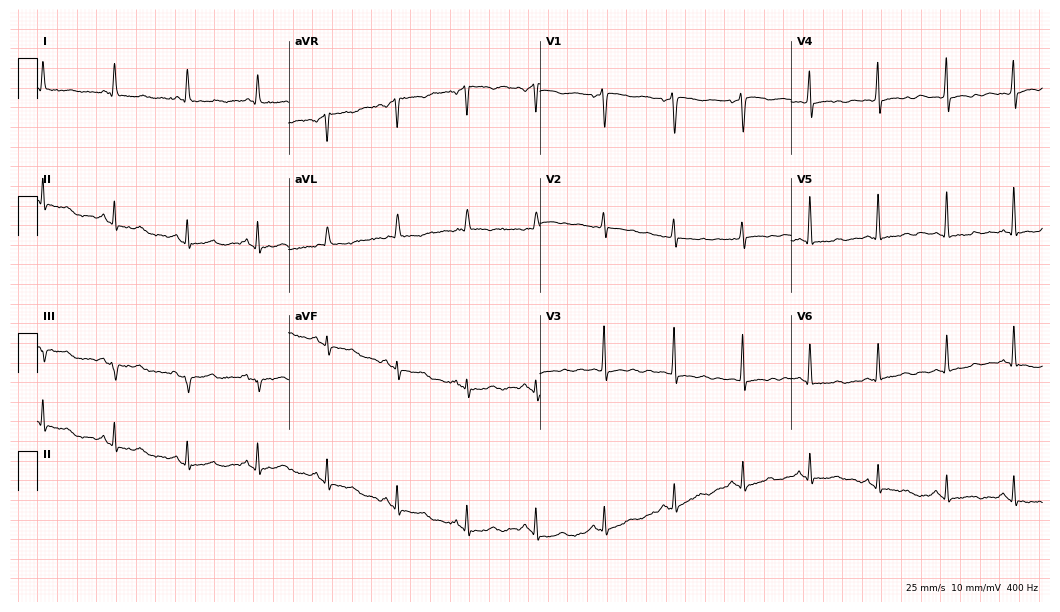
ECG (10.2-second recording at 400 Hz) — a female patient, 62 years old. Screened for six findings — first-degree AV block, right bundle branch block, left bundle branch block, sinus bradycardia, atrial fibrillation, sinus tachycardia — none is recorded. Only these six findings were labelled.